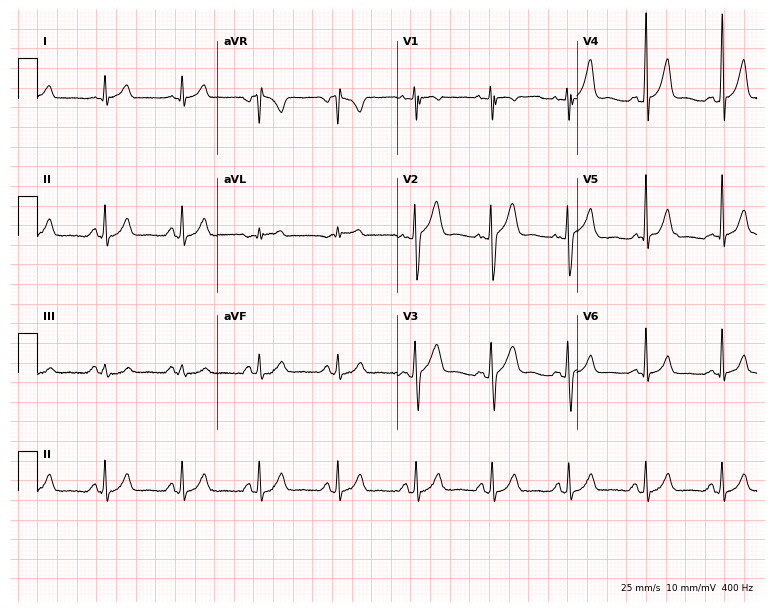
Standard 12-lead ECG recorded from a man, 44 years old (7.3-second recording at 400 Hz). Read as a normal ECG.